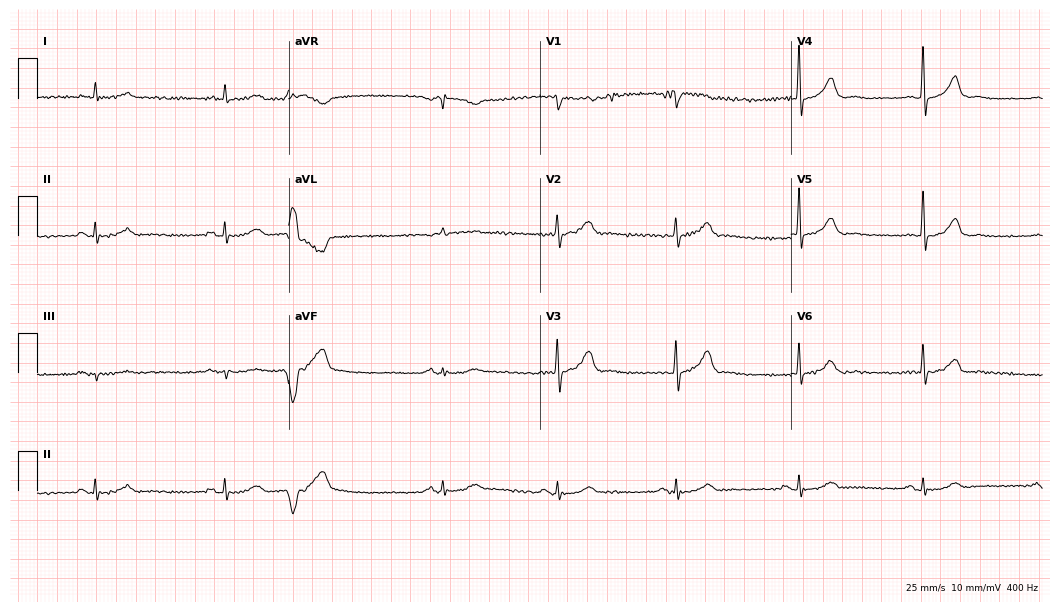
12-lead ECG from a 72-year-old man (10.2-second recording at 400 Hz). Shows sinus bradycardia (a sinus rate of 50 beats per minute or less).